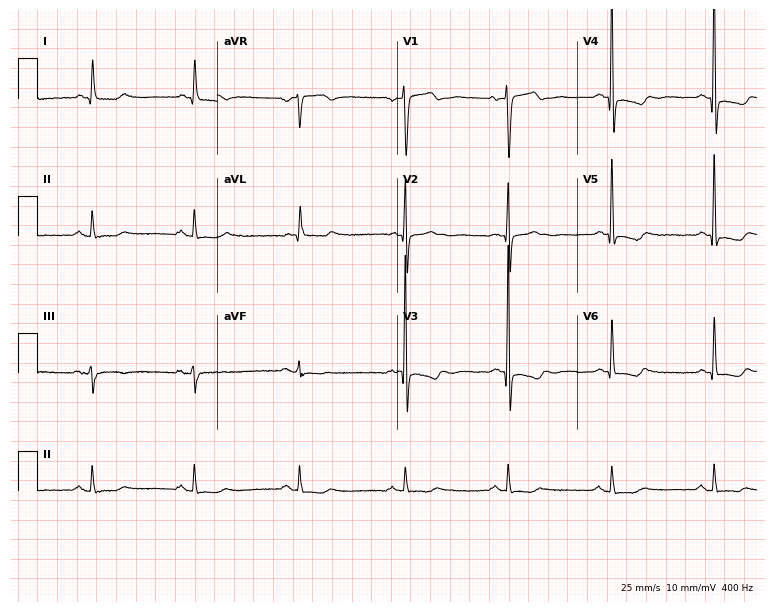
Electrocardiogram, a male, 80 years old. Of the six screened findings (first-degree AV block, right bundle branch block, left bundle branch block, sinus bradycardia, atrial fibrillation, sinus tachycardia), none is recorded.